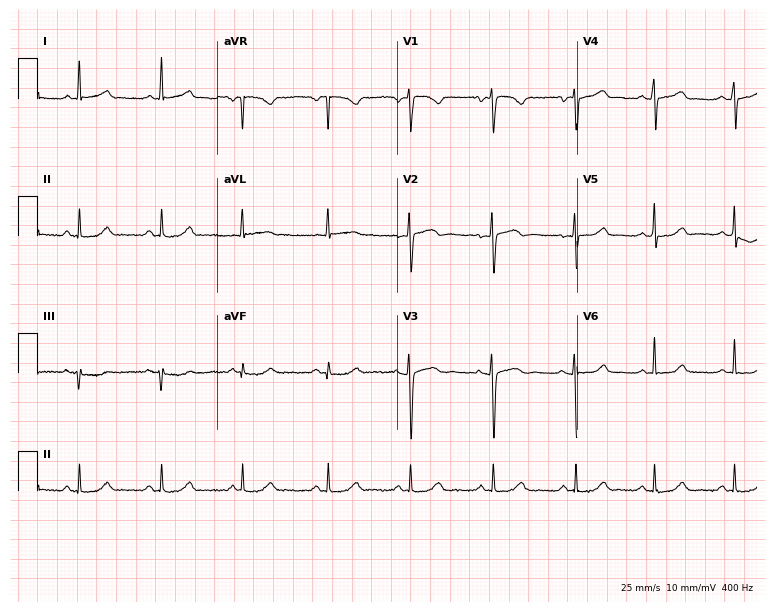
Standard 12-lead ECG recorded from a woman, 34 years old (7.3-second recording at 400 Hz). Read as a normal ECG.